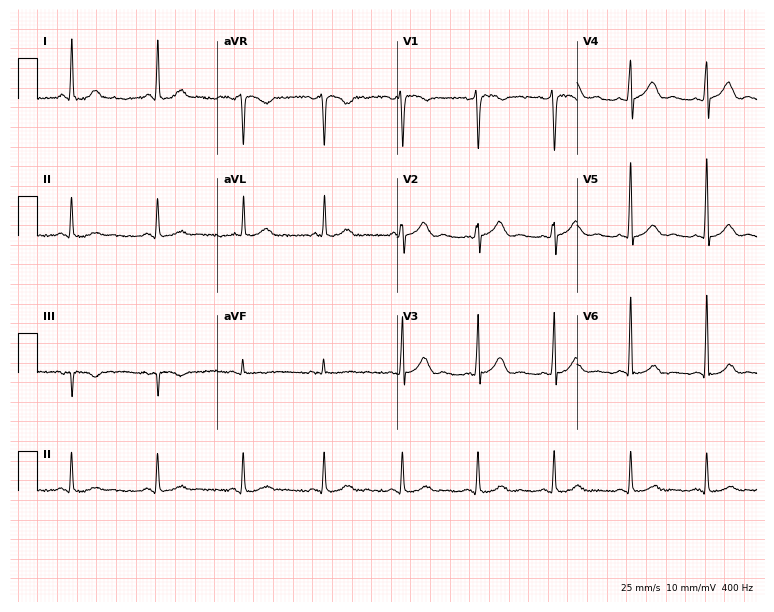
Electrocardiogram, a 26-year-old female patient. Of the six screened findings (first-degree AV block, right bundle branch block, left bundle branch block, sinus bradycardia, atrial fibrillation, sinus tachycardia), none is recorded. Other findings, if any, are not listed.